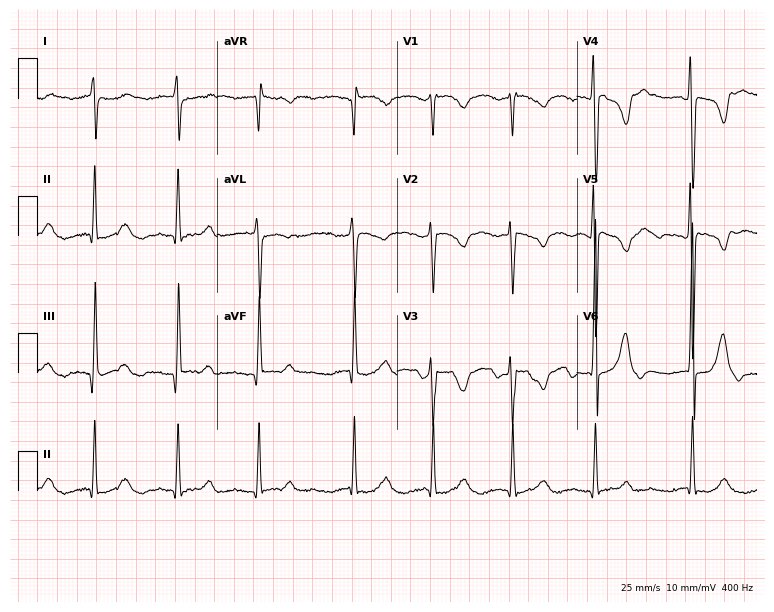
12-lead ECG (7.3-second recording at 400 Hz) from a female, 30 years old. Labelled as a normal ECG.